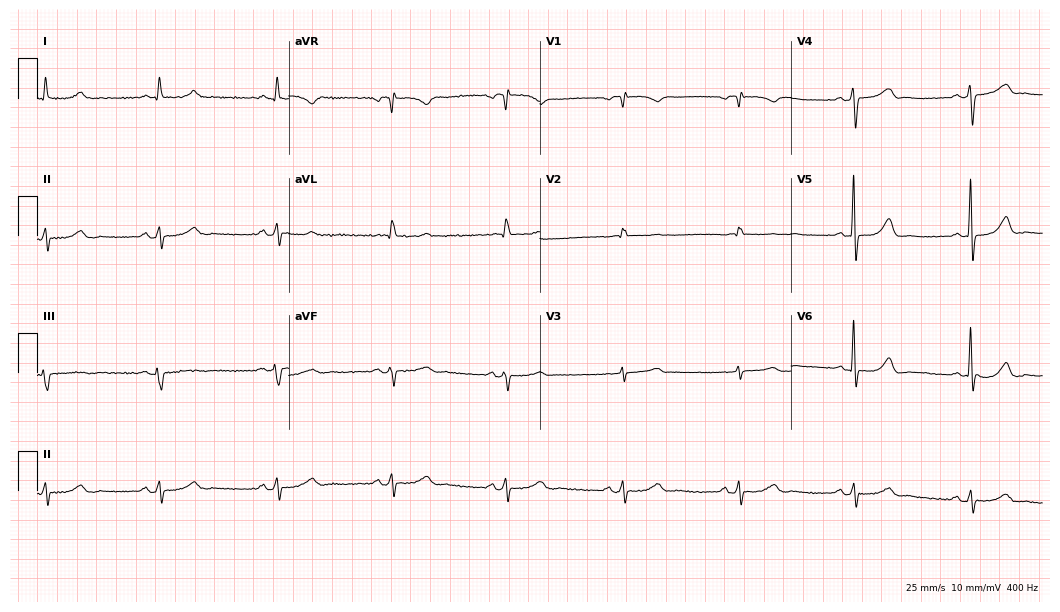
Resting 12-lead electrocardiogram (10.2-second recording at 400 Hz). Patient: a female, 69 years old. None of these six findings is recorded: first-degree AV block, right bundle branch block, left bundle branch block, sinus bradycardia, atrial fibrillation, sinus tachycardia.